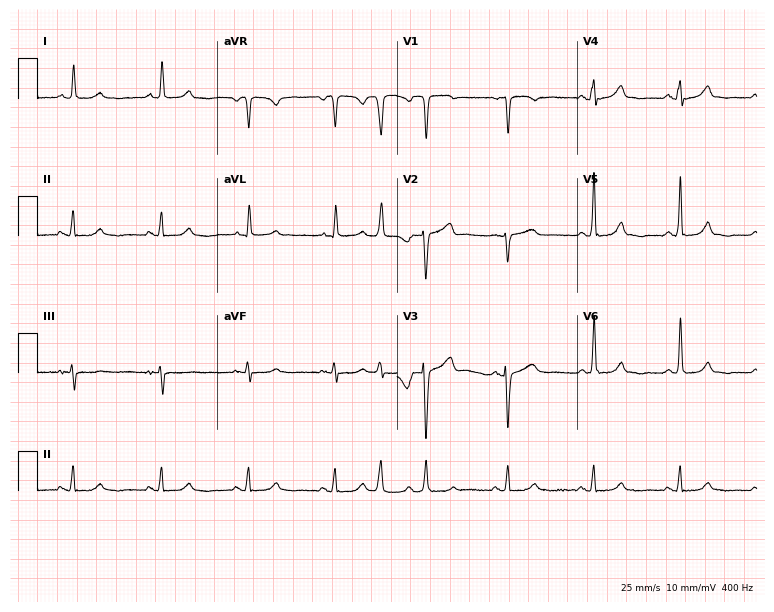
ECG — a 68-year-old woman. Screened for six findings — first-degree AV block, right bundle branch block (RBBB), left bundle branch block (LBBB), sinus bradycardia, atrial fibrillation (AF), sinus tachycardia — none is recorded. Other findings, if any, are not listed.